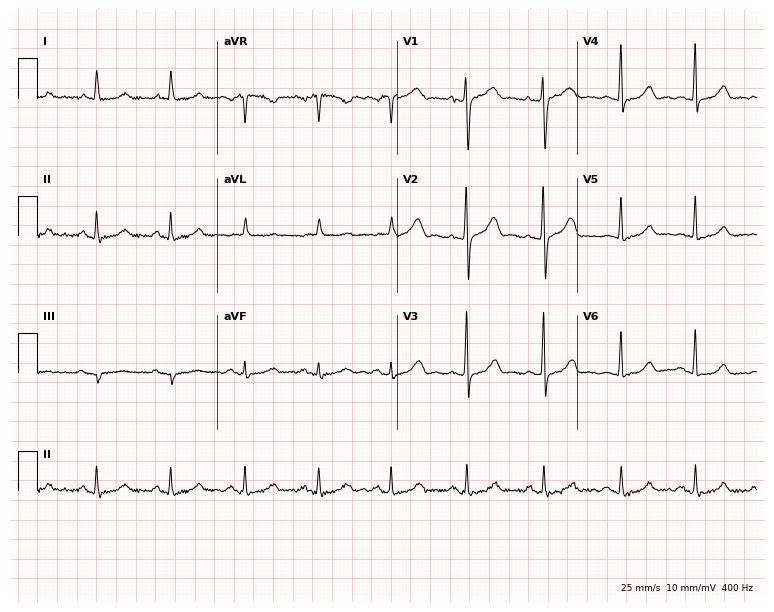
Standard 12-lead ECG recorded from a female, 51 years old. None of these six findings is recorded: first-degree AV block, right bundle branch block, left bundle branch block, sinus bradycardia, atrial fibrillation, sinus tachycardia.